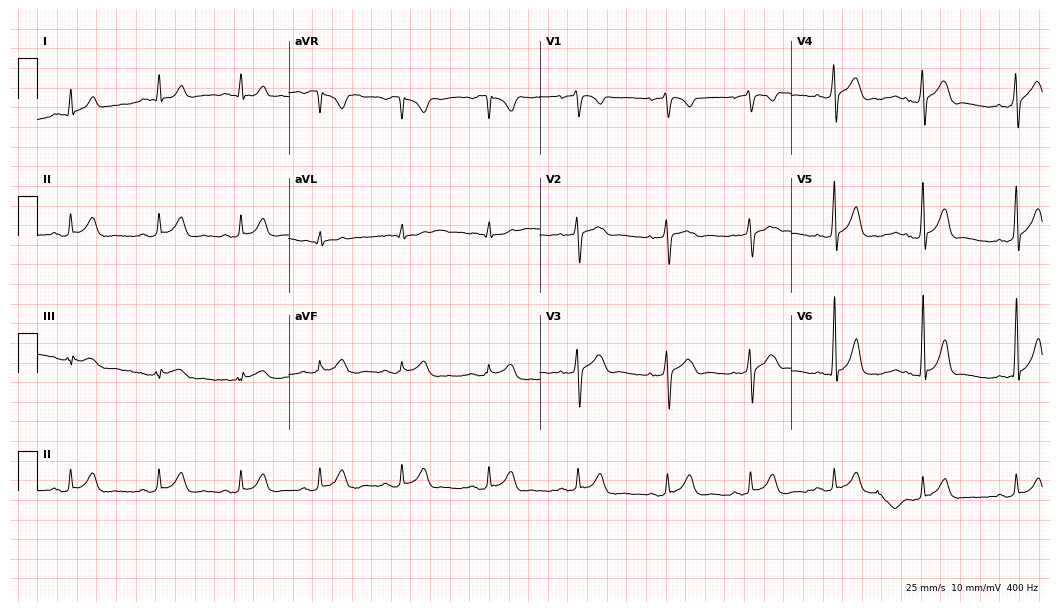
Standard 12-lead ECG recorded from a 27-year-old male patient (10.2-second recording at 400 Hz). Read as a normal ECG.